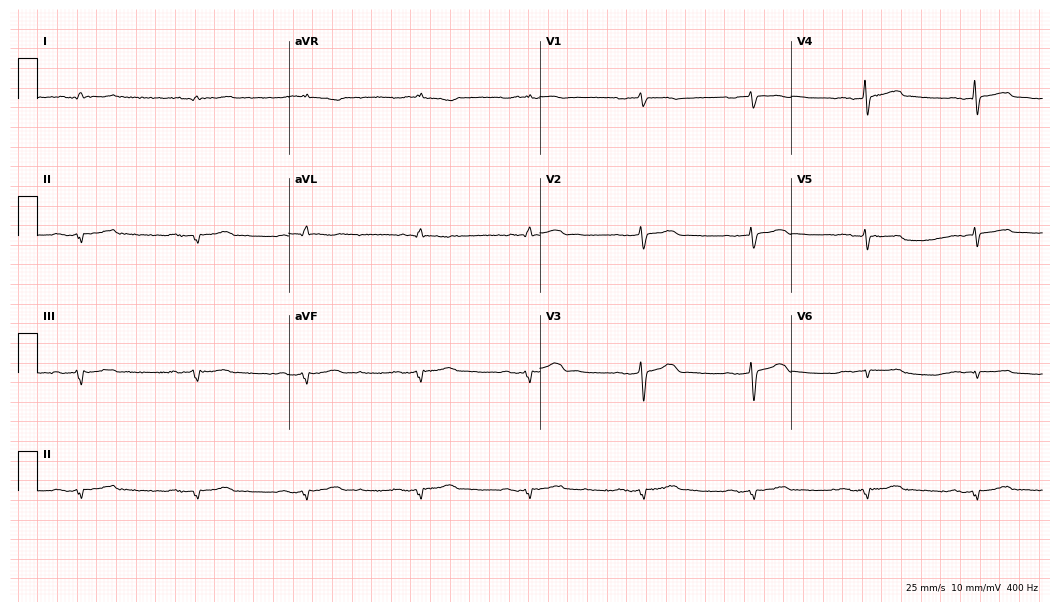
12-lead ECG from a 75-year-old female patient. Screened for six findings — first-degree AV block, right bundle branch block, left bundle branch block, sinus bradycardia, atrial fibrillation, sinus tachycardia — none is recorded. Only these six findings were labelled.